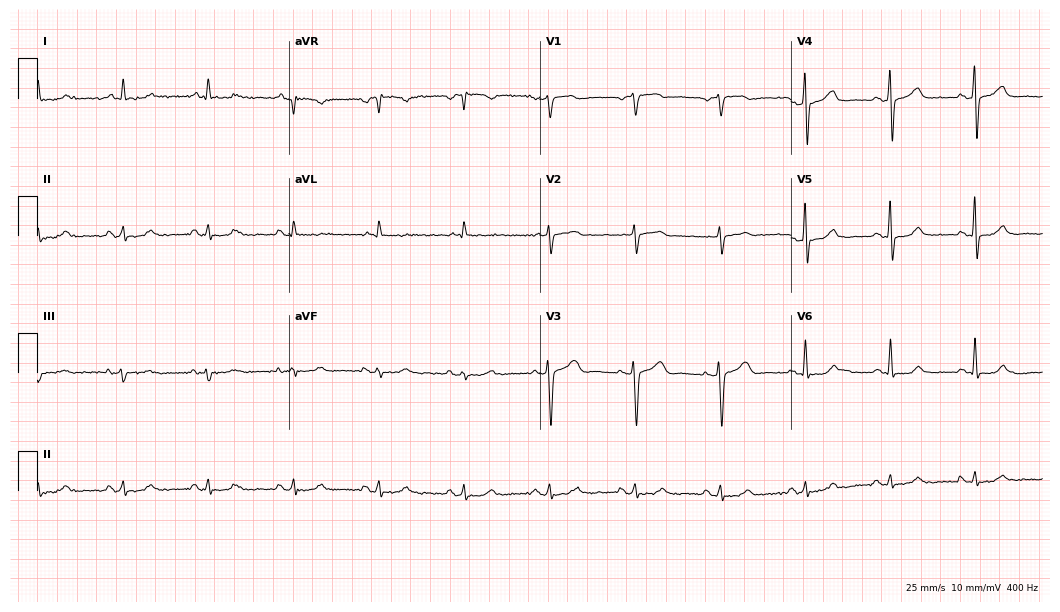
Electrocardiogram (10.2-second recording at 400 Hz), an 82-year-old man. Overall reading on record: normal ECG.